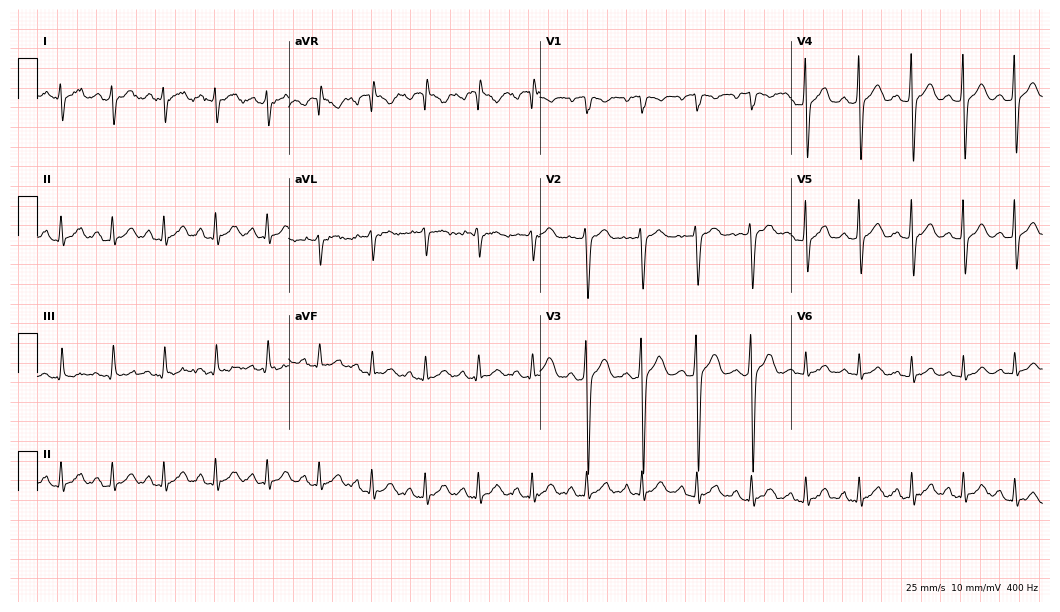
Electrocardiogram (10.2-second recording at 400 Hz), a male patient, 32 years old. Interpretation includes sinus tachycardia (a sinus rate of 100 beats per minute or more).